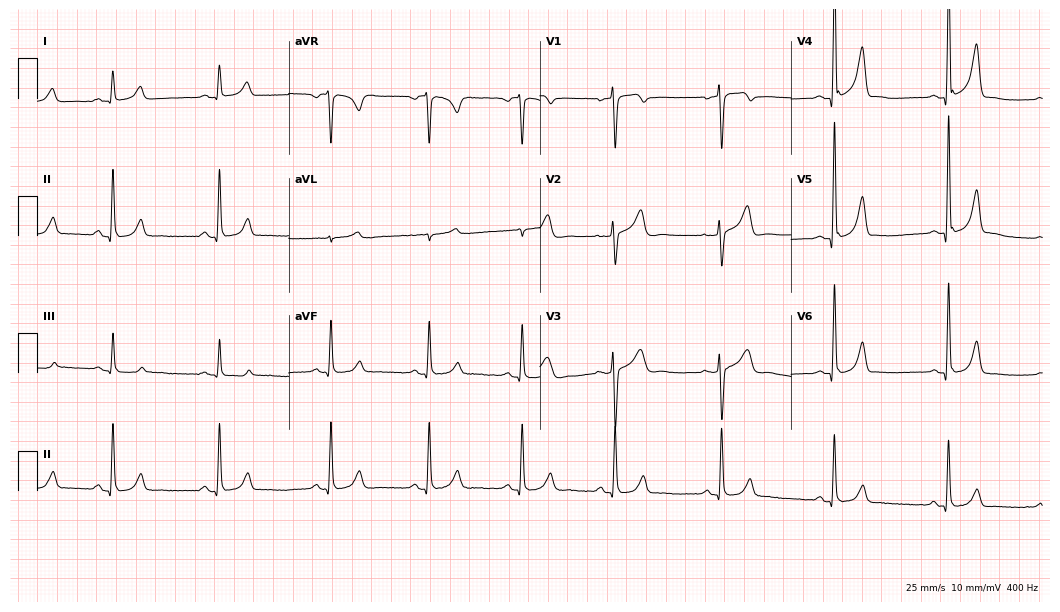
Electrocardiogram, a female, 37 years old. Of the six screened findings (first-degree AV block, right bundle branch block (RBBB), left bundle branch block (LBBB), sinus bradycardia, atrial fibrillation (AF), sinus tachycardia), none is recorded.